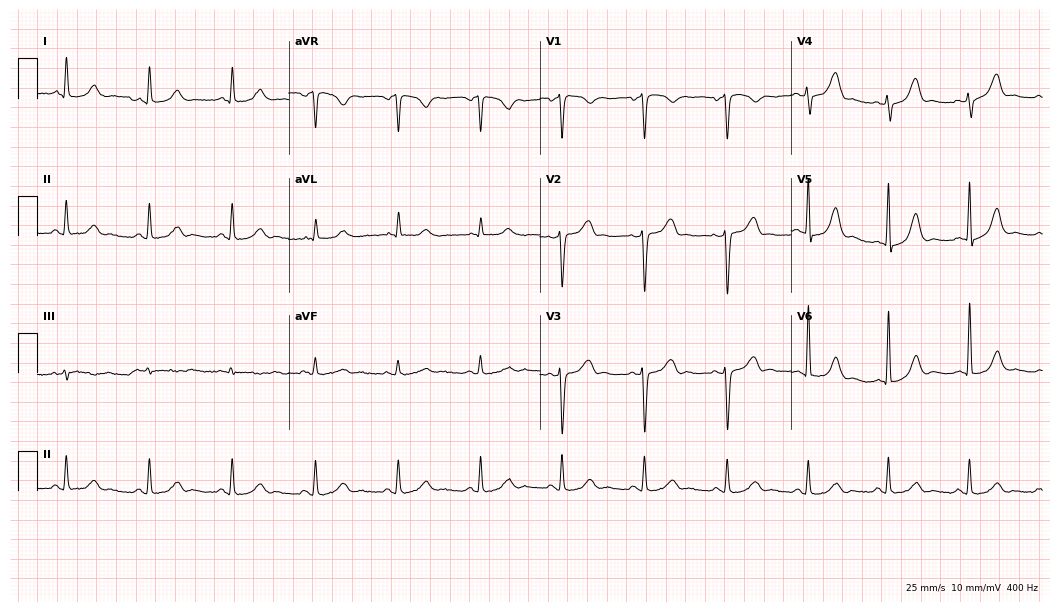
12-lead ECG (10.2-second recording at 400 Hz) from a 55-year-old man. Screened for six findings — first-degree AV block, right bundle branch block (RBBB), left bundle branch block (LBBB), sinus bradycardia, atrial fibrillation (AF), sinus tachycardia — none is recorded.